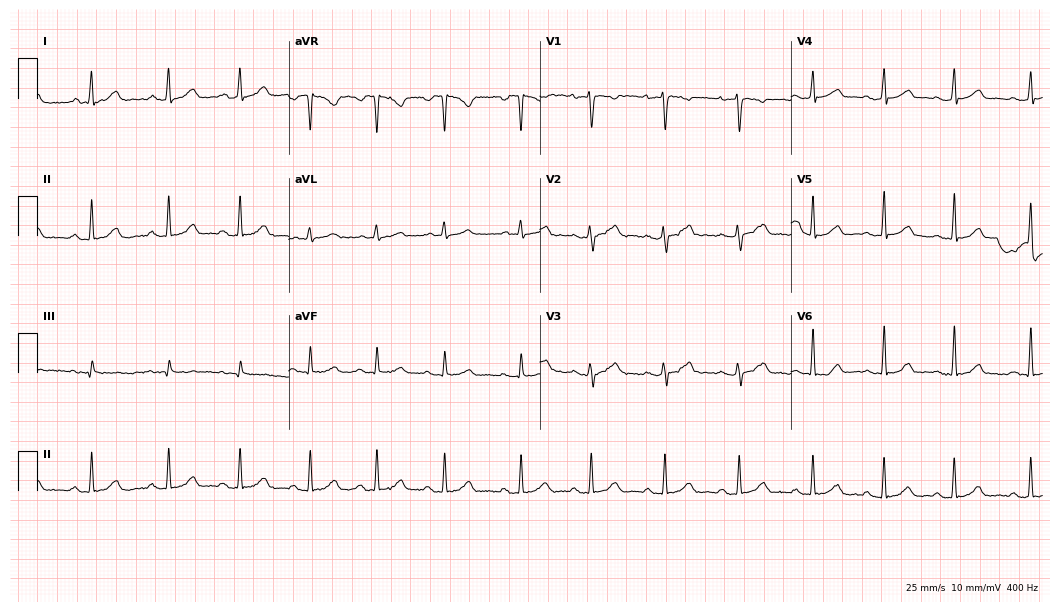
12-lead ECG from a female, 18 years old. Recorded interpretation: within normal limits.